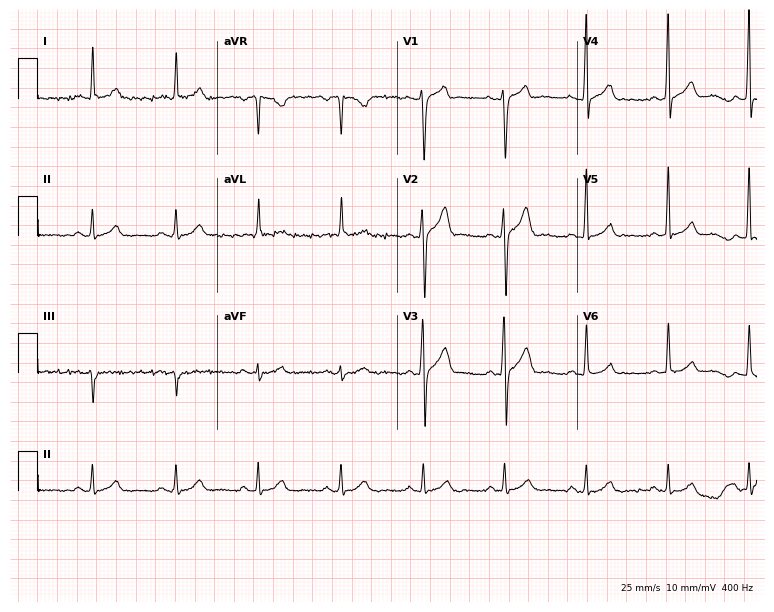
Standard 12-lead ECG recorded from a 42-year-old male patient (7.3-second recording at 400 Hz). Read as a normal ECG.